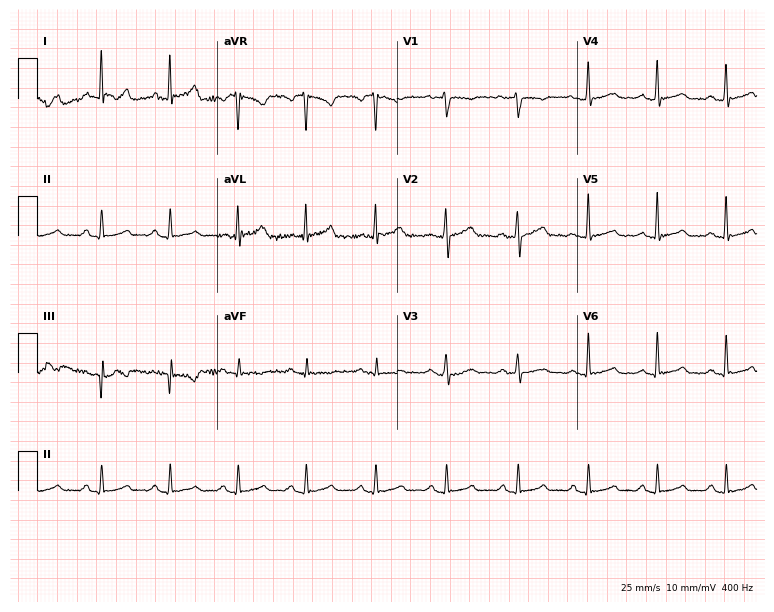
Standard 12-lead ECG recorded from a woman, 43 years old. Read as a normal ECG.